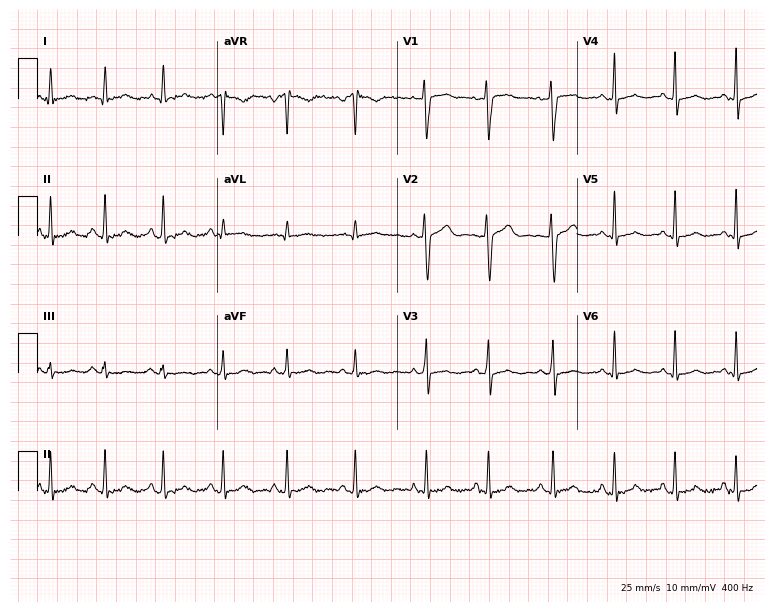
12-lead ECG (7.3-second recording at 400 Hz) from a 31-year-old female. Screened for six findings — first-degree AV block, right bundle branch block, left bundle branch block, sinus bradycardia, atrial fibrillation, sinus tachycardia — none is recorded. Only these six findings were labelled.